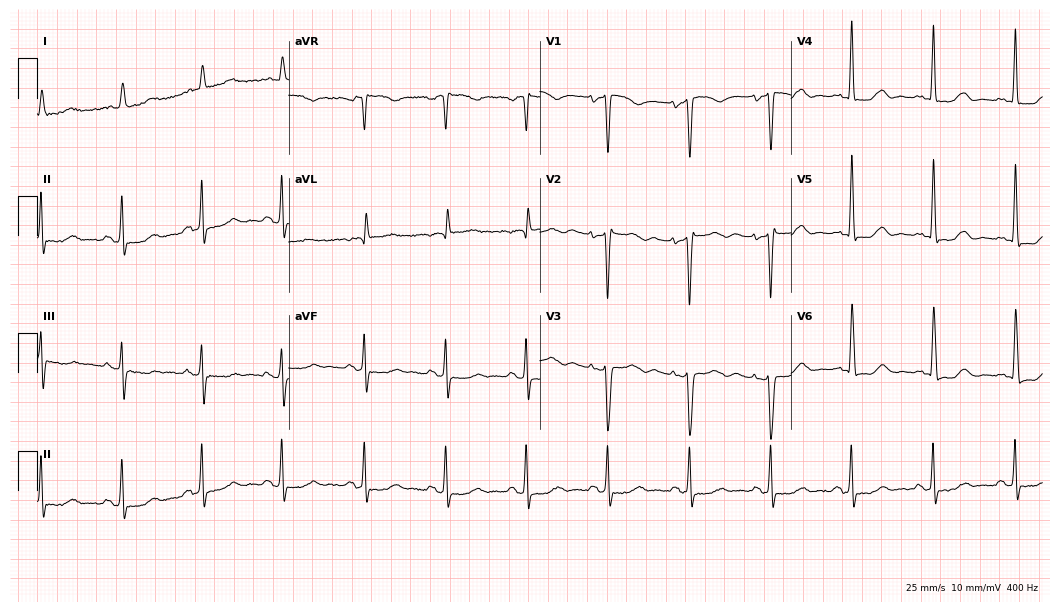
ECG — an 80-year-old female. Screened for six findings — first-degree AV block, right bundle branch block, left bundle branch block, sinus bradycardia, atrial fibrillation, sinus tachycardia — none is recorded.